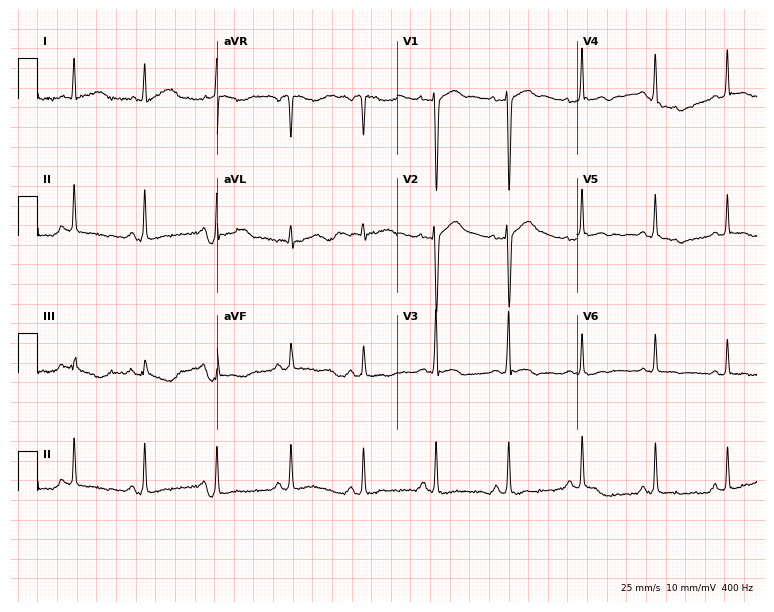
12-lead ECG from a 29-year-old male. Screened for six findings — first-degree AV block, right bundle branch block, left bundle branch block, sinus bradycardia, atrial fibrillation, sinus tachycardia — none is recorded.